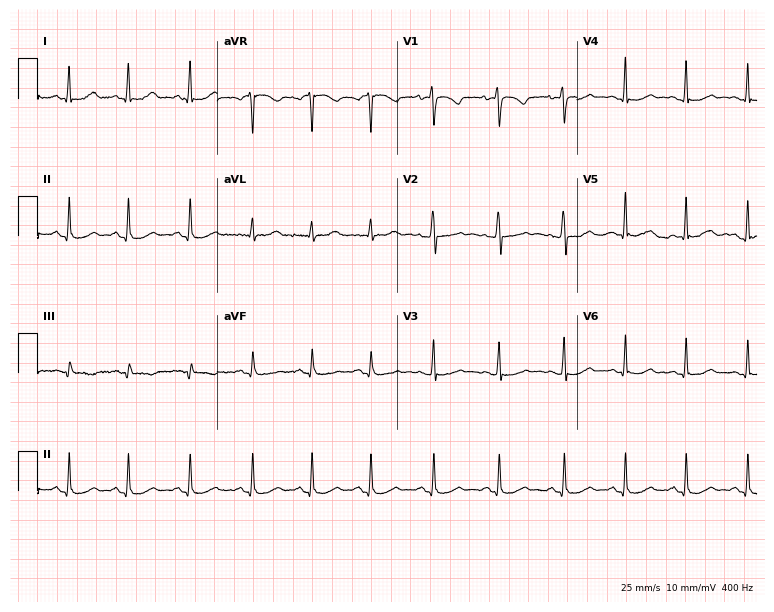
Electrocardiogram (7.3-second recording at 400 Hz), a woman, 42 years old. Of the six screened findings (first-degree AV block, right bundle branch block, left bundle branch block, sinus bradycardia, atrial fibrillation, sinus tachycardia), none is recorded. Only these six findings were labelled.